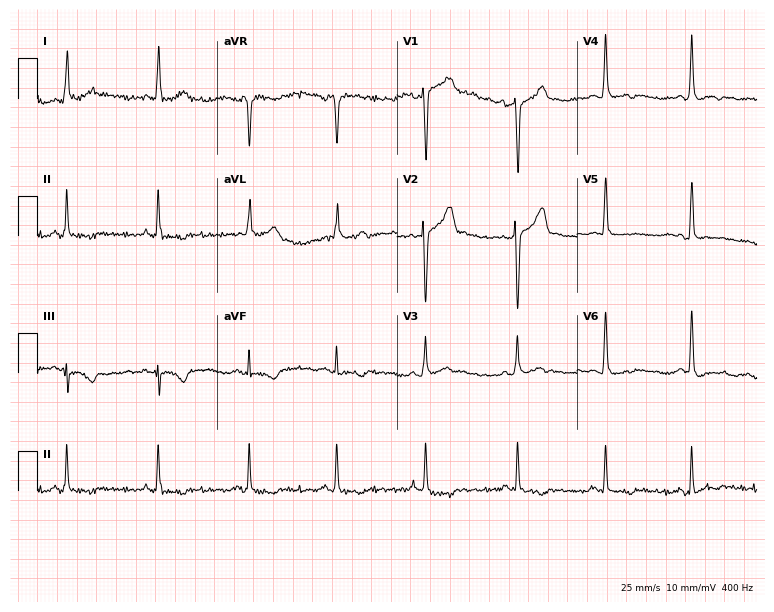
Resting 12-lead electrocardiogram. Patient: a man, 41 years old. None of these six findings is recorded: first-degree AV block, right bundle branch block, left bundle branch block, sinus bradycardia, atrial fibrillation, sinus tachycardia.